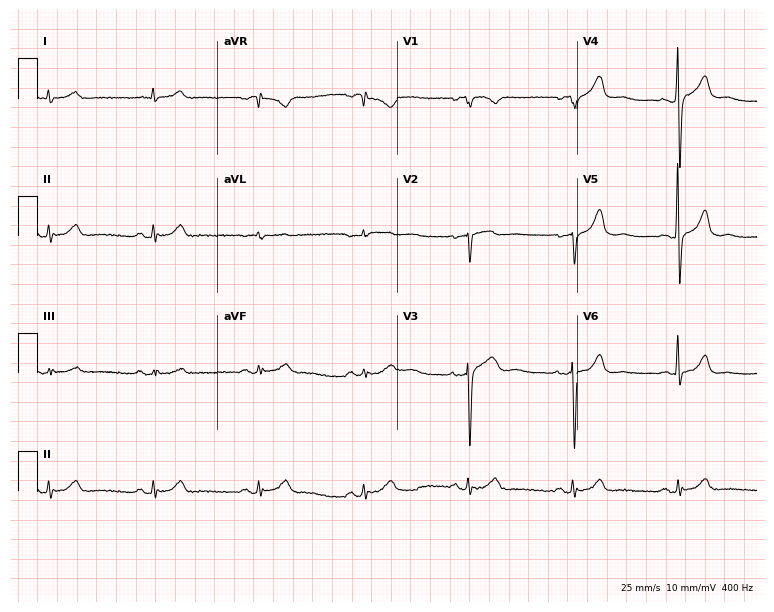
Resting 12-lead electrocardiogram. Patient: a man, 65 years old. Read as a normal ECG.